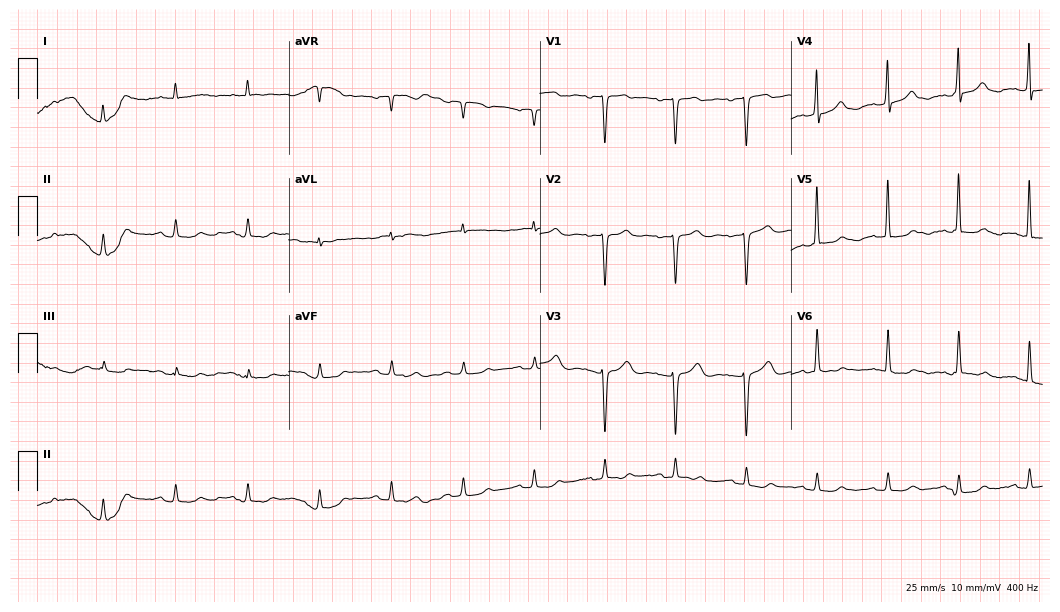
12-lead ECG from a woman, 71 years old (10.2-second recording at 400 Hz). No first-degree AV block, right bundle branch block, left bundle branch block, sinus bradycardia, atrial fibrillation or sinus tachycardia recorded for this tracing.